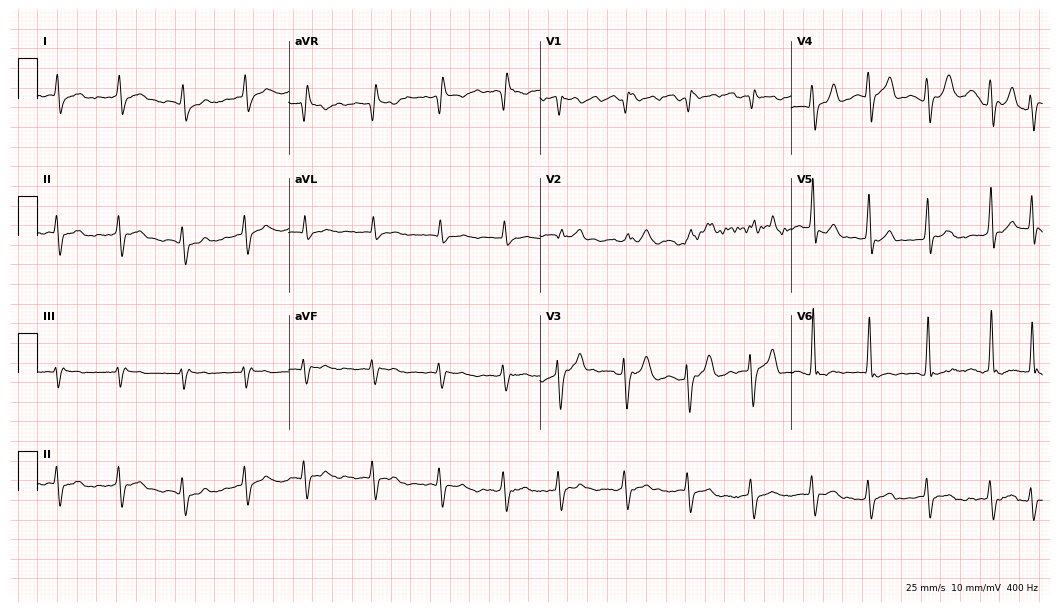
12-lead ECG from a woman, 82 years old (10.2-second recording at 400 Hz). No first-degree AV block, right bundle branch block, left bundle branch block, sinus bradycardia, atrial fibrillation or sinus tachycardia recorded for this tracing.